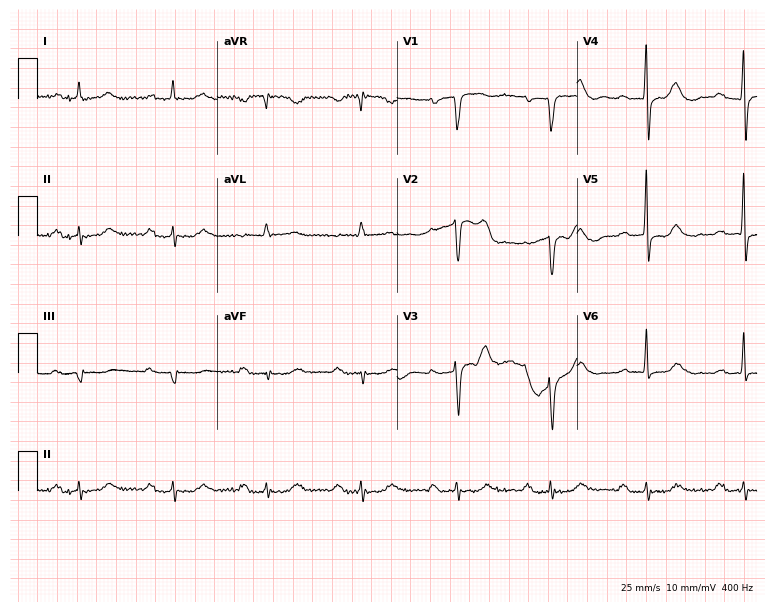
Resting 12-lead electrocardiogram (7.3-second recording at 400 Hz). Patient: an 80-year-old man. The tracing shows first-degree AV block.